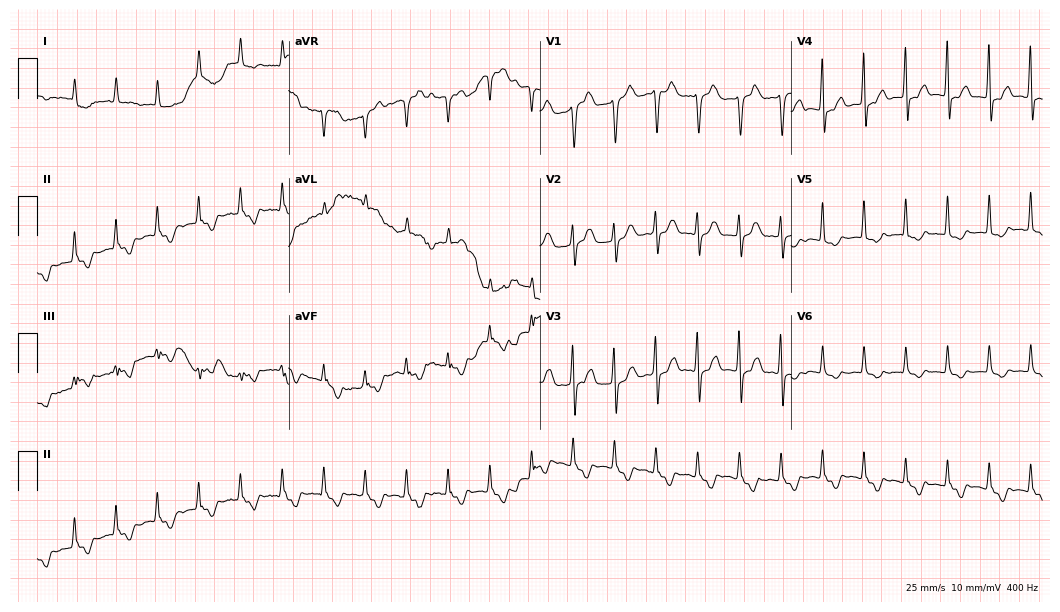
Electrocardiogram, a male, 84 years old. Of the six screened findings (first-degree AV block, right bundle branch block, left bundle branch block, sinus bradycardia, atrial fibrillation, sinus tachycardia), none is recorded. Only these six findings were labelled.